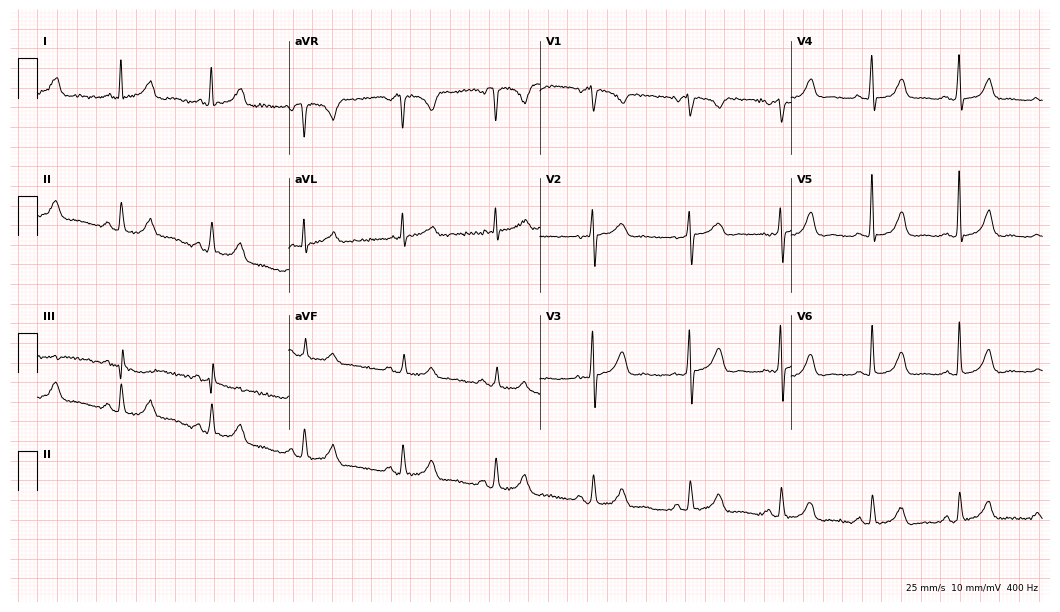
12-lead ECG (10.2-second recording at 400 Hz) from a woman, 54 years old. Labelled as a normal ECG.